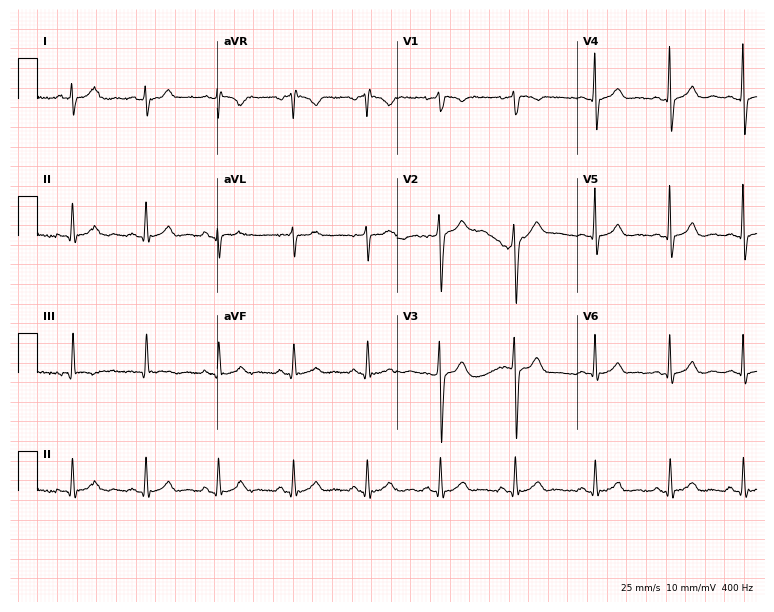
12-lead ECG from a male, 21 years old. Labelled as a normal ECG.